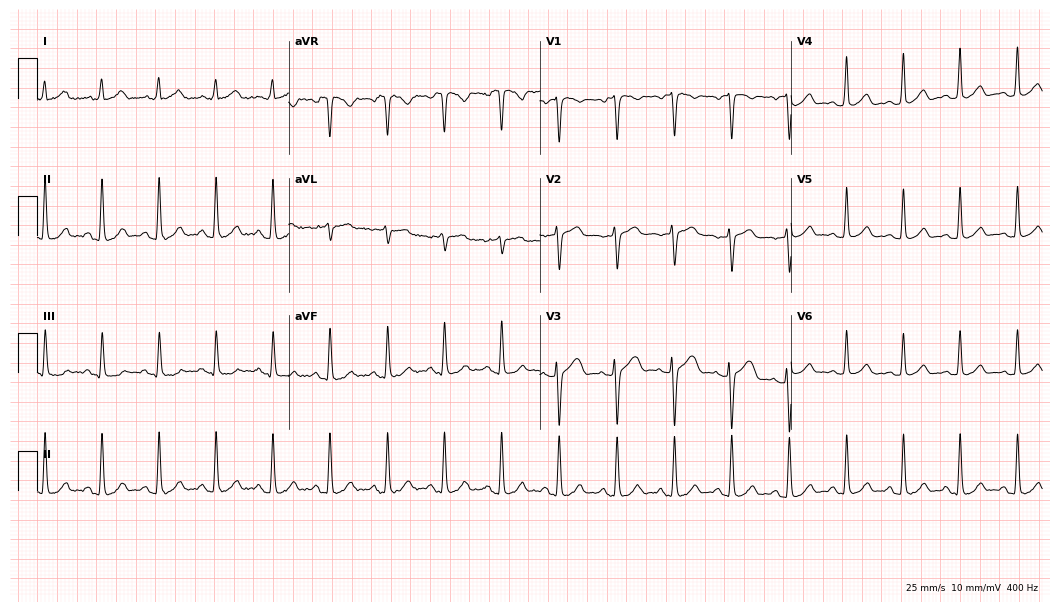
12-lead ECG (10.2-second recording at 400 Hz) from a 28-year-old female patient. Findings include sinus tachycardia (a sinus rate of 100 beats per minute or more).